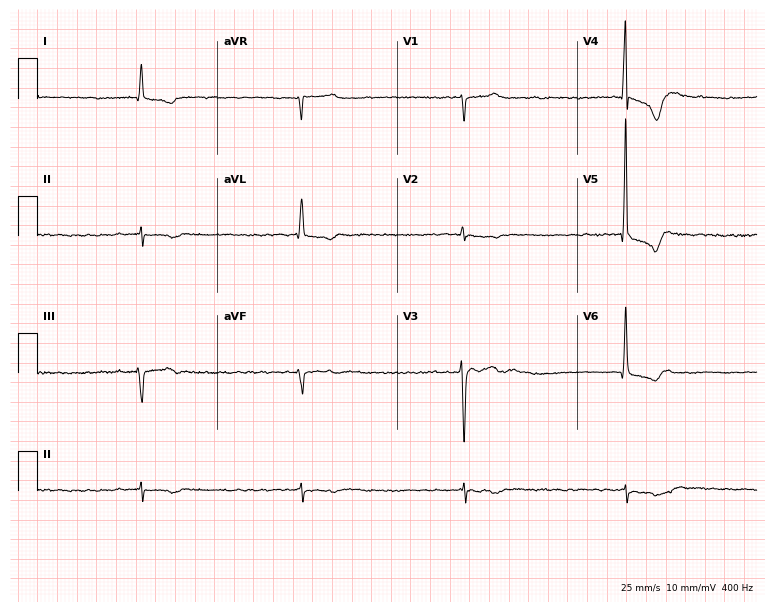
ECG (7.3-second recording at 400 Hz) — a 75-year-old male. Findings include atrial fibrillation.